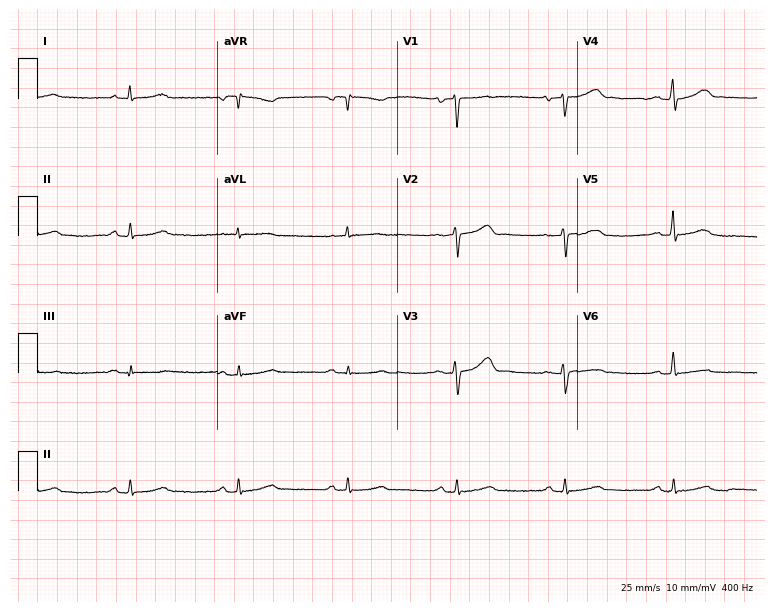
12-lead ECG from a 59-year-old man (7.3-second recording at 400 Hz). No first-degree AV block, right bundle branch block (RBBB), left bundle branch block (LBBB), sinus bradycardia, atrial fibrillation (AF) or sinus tachycardia recorded for this tracing.